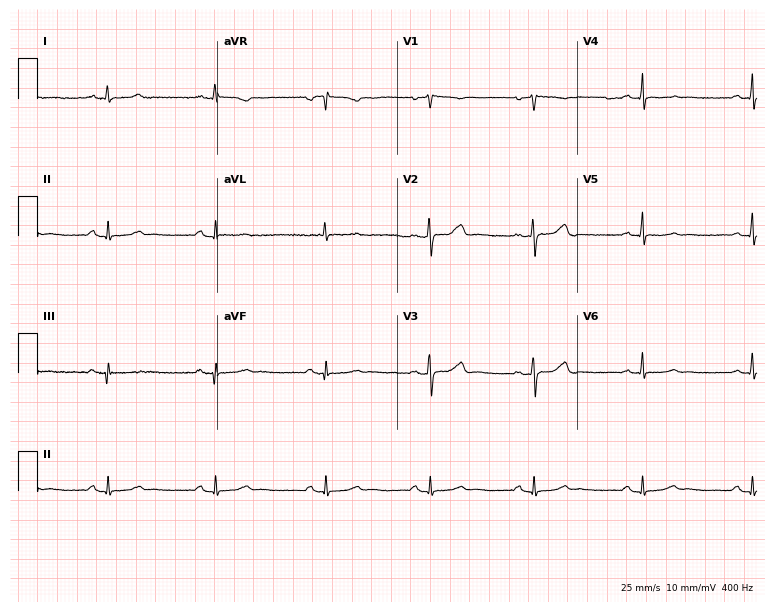
12-lead ECG (7.3-second recording at 400 Hz) from a 48-year-old female. Screened for six findings — first-degree AV block, right bundle branch block (RBBB), left bundle branch block (LBBB), sinus bradycardia, atrial fibrillation (AF), sinus tachycardia — none is recorded. Other findings, if any, are not listed.